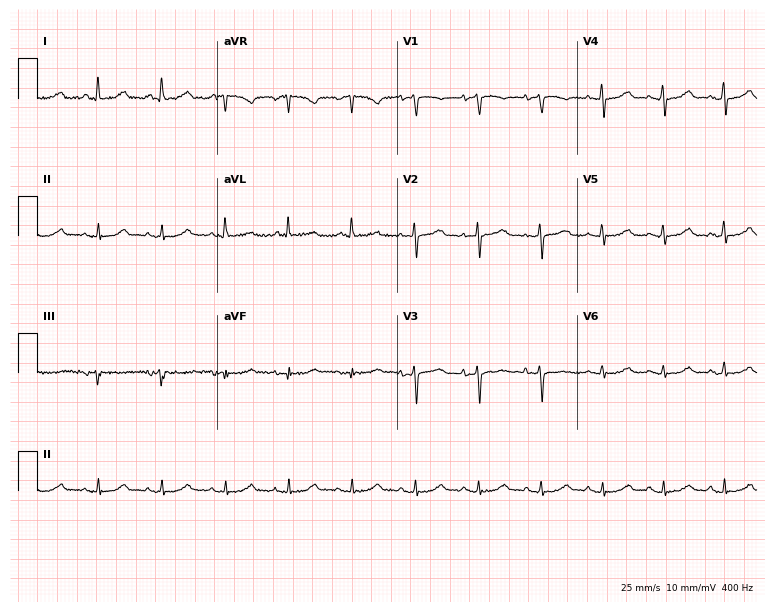
Resting 12-lead electrocardiogram (7.3-second recording at 400 Hz). Patient: a female, 64 years old. Read as a normal ECG.